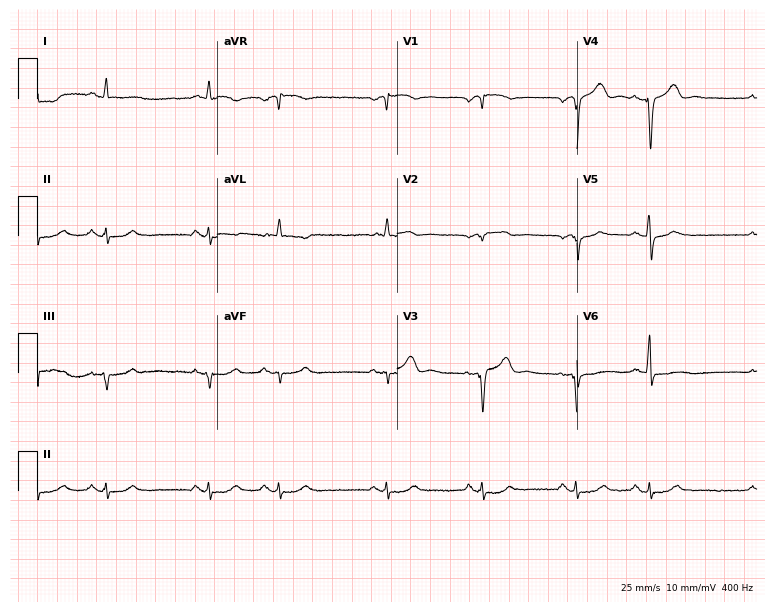
Resting 12-lead electrocardiogram (7.3-second recording at 400 Hz). Patient: a male, 75 years old. Read as a normal ECG.